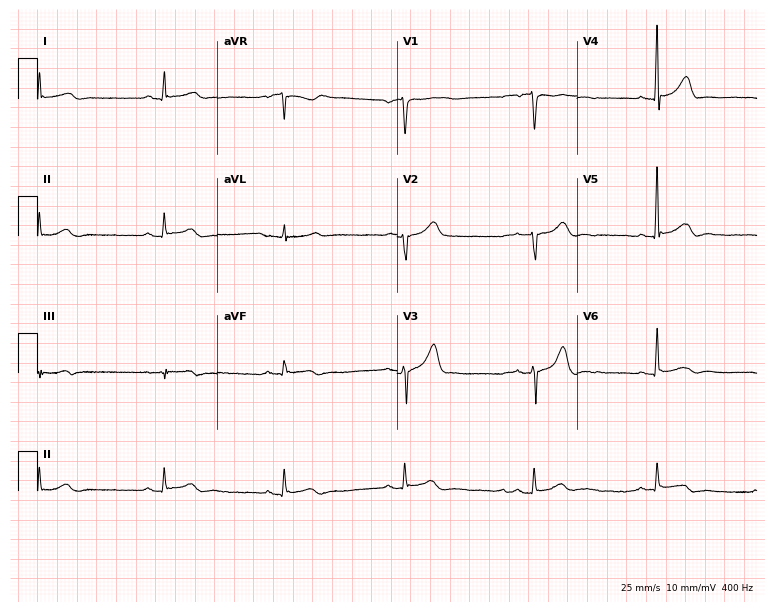
Electrocardiogram, a male, 64 years old. Overall reading on record: normal ECG.